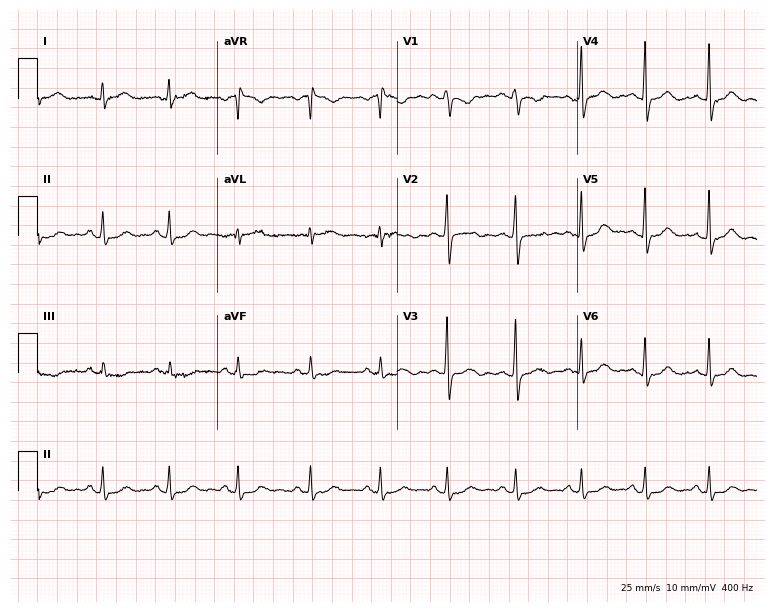
ECG (7.3-second recording at 400 Hz) — a 38-year-old female patient. Labelled as a normal ECG.